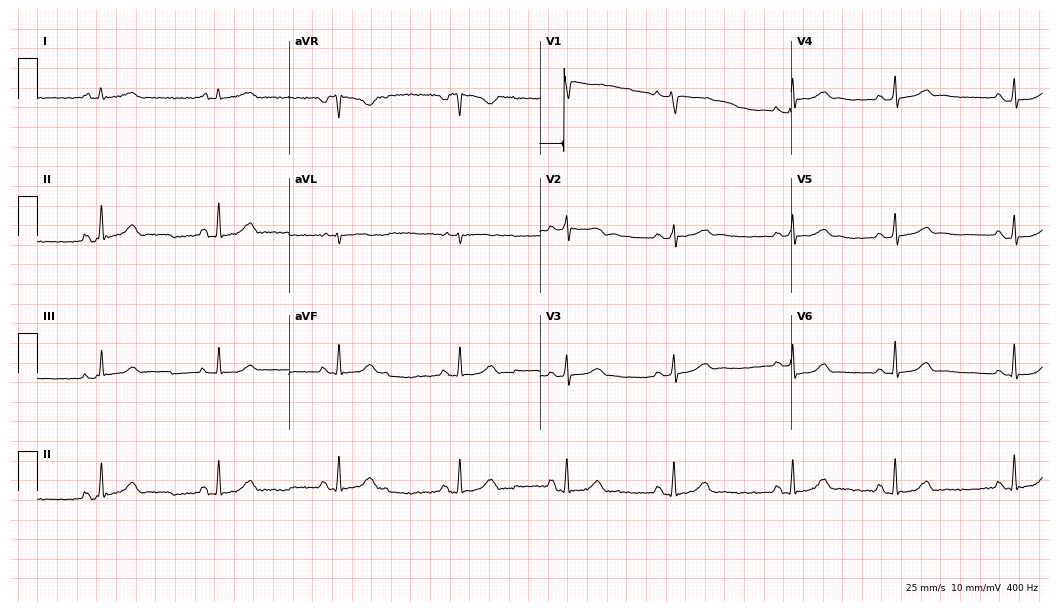
Resting 12-lead electrocardiogram (10.2-second recording at 400 Hz). Patient: a woman, 33 years old. None of these six findings is recorded: first-degree AV block, right bundle branch block, left bundle branch block, sinus bradycardia, atrial fibrillation, sinus tachycardia. Other findings, if any, are not listed.